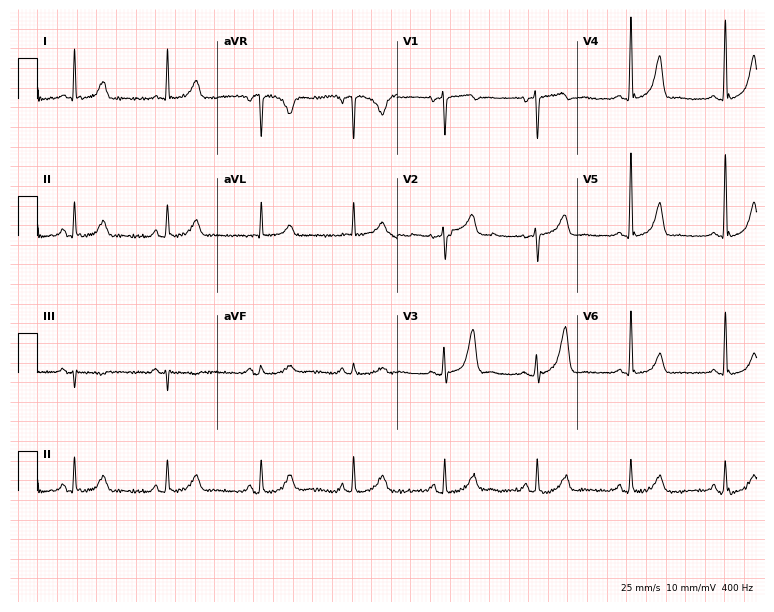
12-lead ECG (7.3-second recording at 400 Hz) from a woman, 75 years old. Screened for six findings — first-degree AV block, right bundle branch block, left bundle branch block, sinus bradycardia, atrial fibrillation, sinus tachycardia — none is recorded.